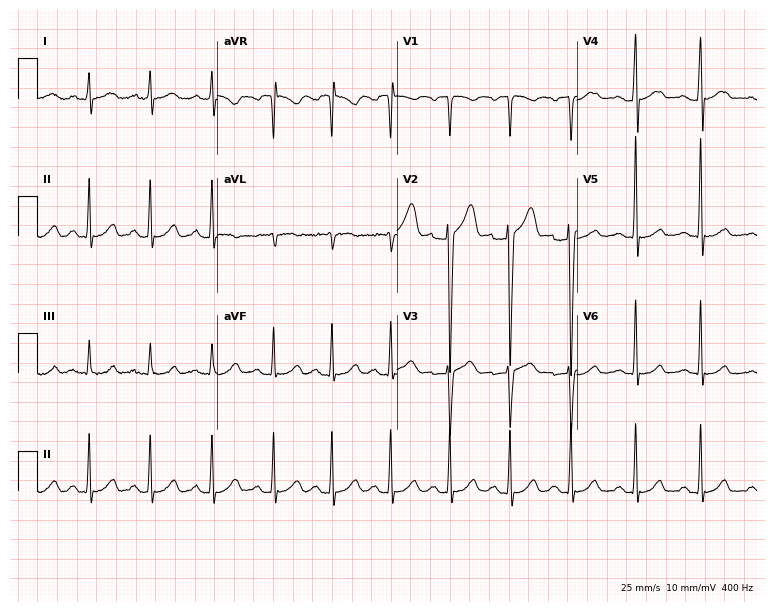
12-lead ECG from a 27-year-old man. Recorded interpretation: within normal limits.